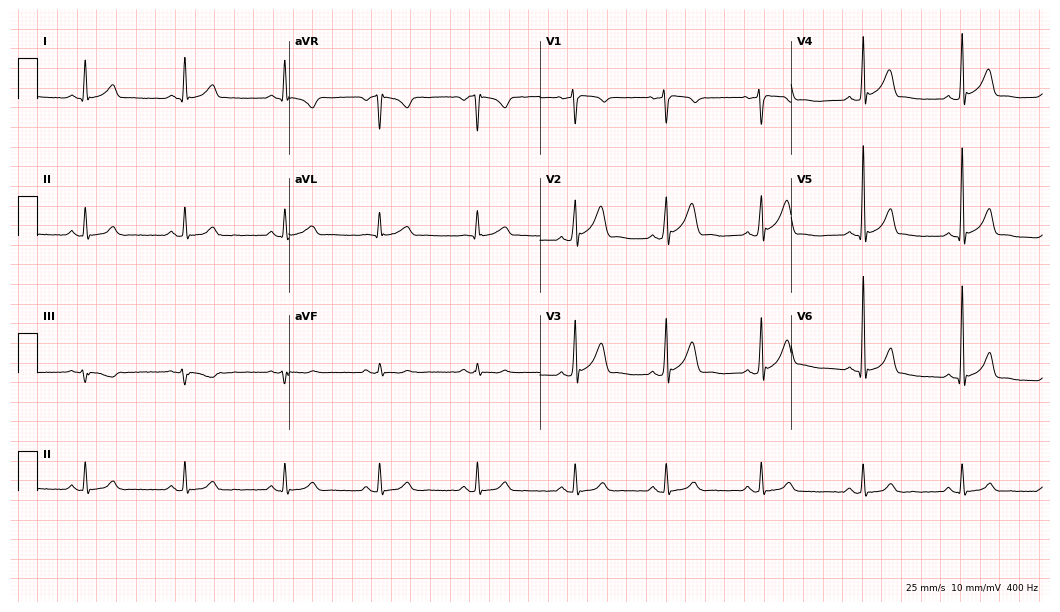
ECG (10.2-second recording at 400 Hz) — a 45-year-old man. Labelled as a normal ECG.